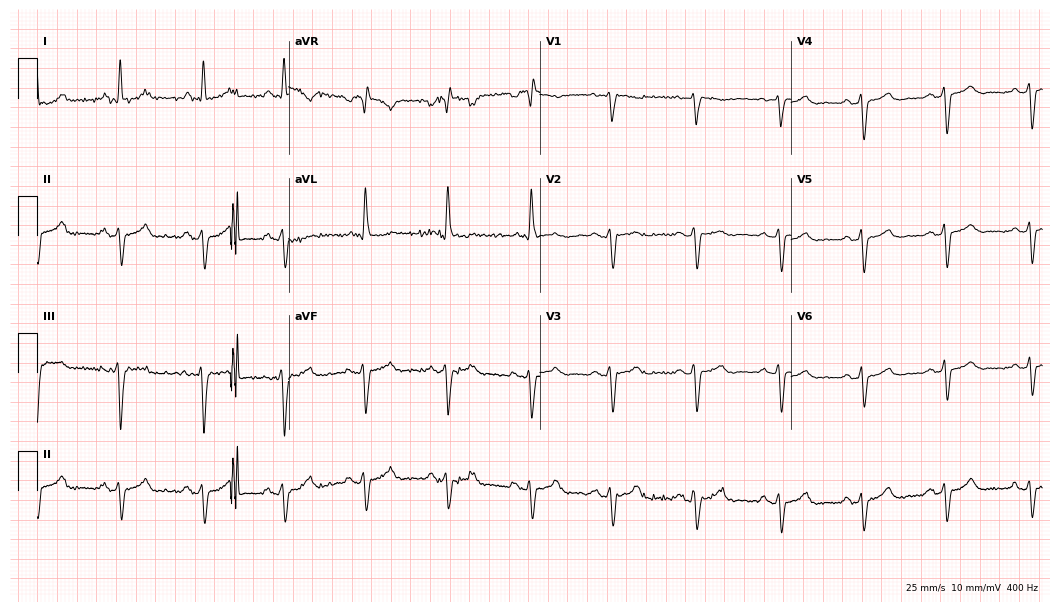
12-lead ECG from a 58-year-old female patient (10.2-second recording at 400 Hz). No first-degree AV block, right bundle branch block, left bundle branch block, sinus bradycardia, atrial fibrillation or sinus tachycardia recorded for this tracing.